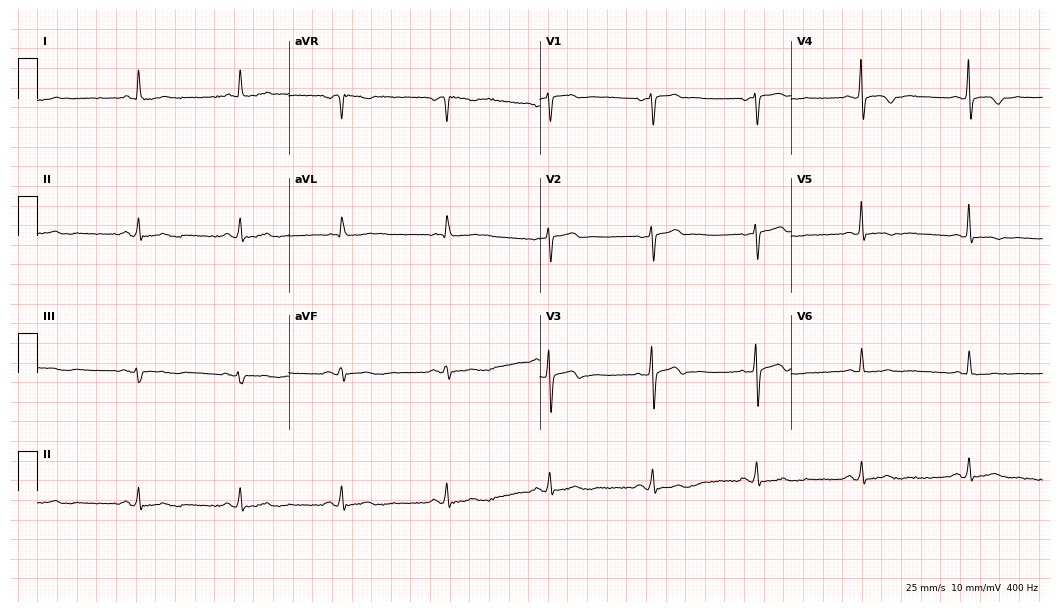
Standard 12-lead ECG recorded from a female, 74 years old (10.2-second recording at 400 Hz). None of these six findings is recorded: first-degree AV block, right bundle branch block (RBBB), left bundle branch block (LBBB), sinus bradycardia, atrial fibrillation (AF), sinus tachycardia.